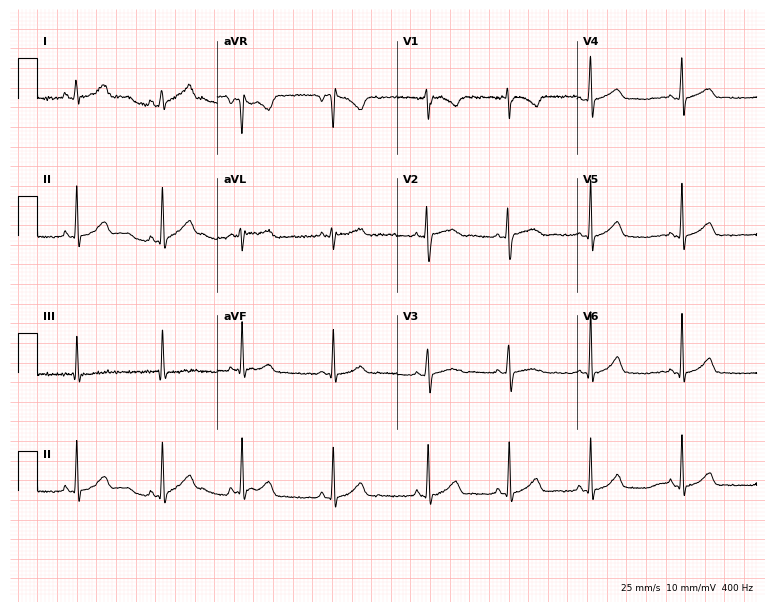
12-lead ECG from a 25-year-old female patient. Labelled as a normal ECG.